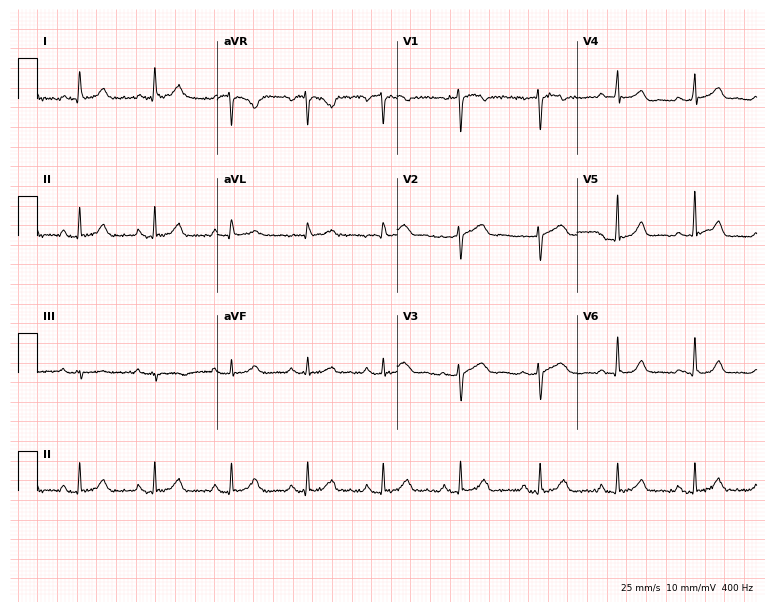
12-lead ECG from a 38-year-old female patient. No first-degree AV block, right bundle branch block, left bundle branch block, sinus bradycardia, atrial fibrillation or sinus tachycardia recorded for this tracing.